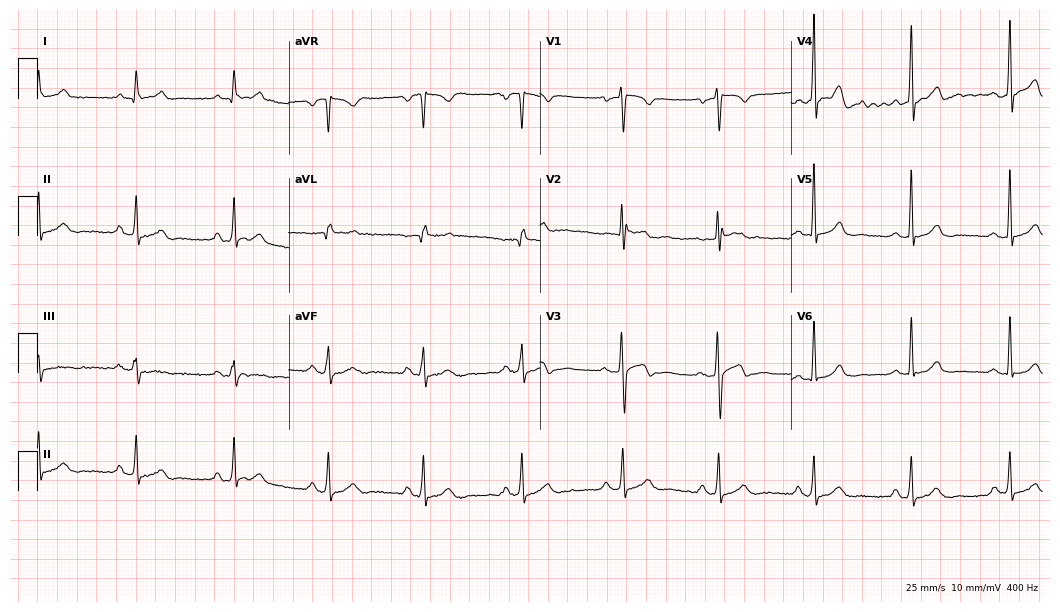
Electrocardiogram (10.2-second recording at 400 Hz), a male, 52 years old. Overall reading on record: normal ECG.